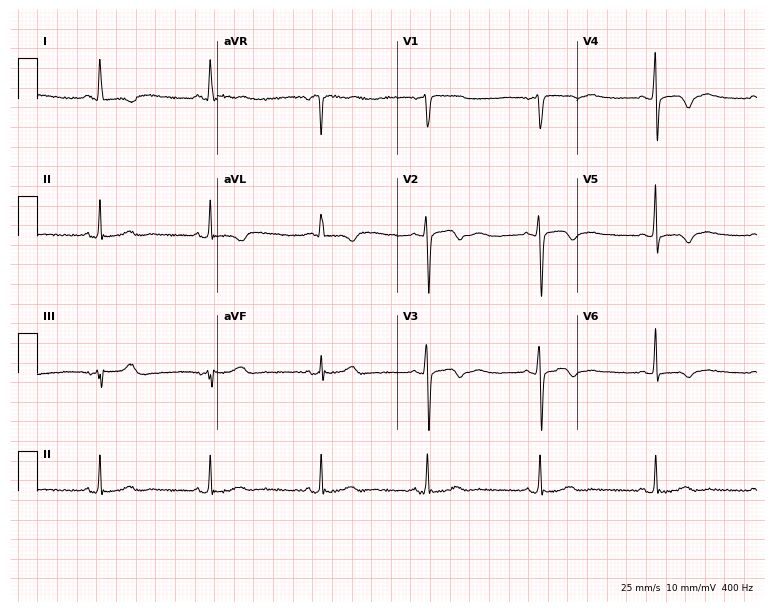
Electrocardiogram (7.3-second recording at 400 Hz), a male, 34 years old. Of the six screened findings (first-degree AV block, right bundle branch block, left bundle branch block, sinus bradycardia, atrial fibrillation, sinus tachycardia), none is recorded. Findings outside these six are not listed.